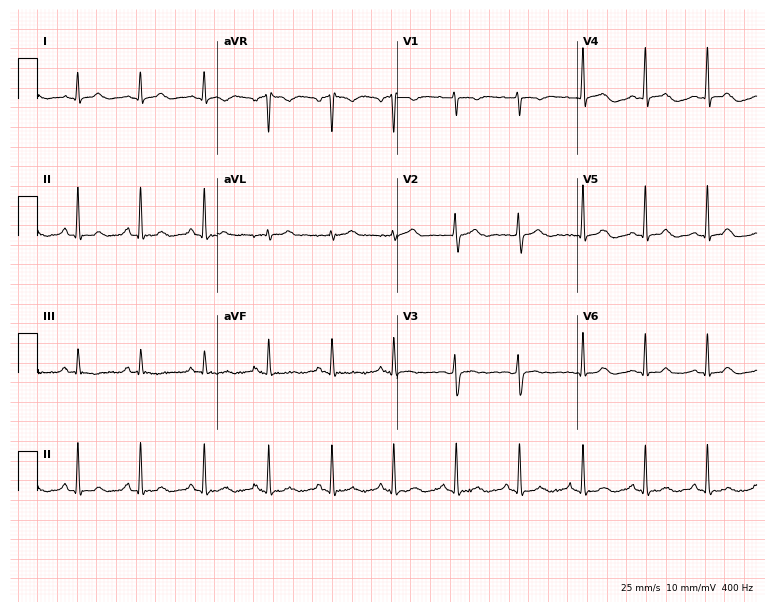
Electrocardiogram (7.3-second recording at 400 Hz), a 34-year-old woman. Overall reading on record: normal ECG.